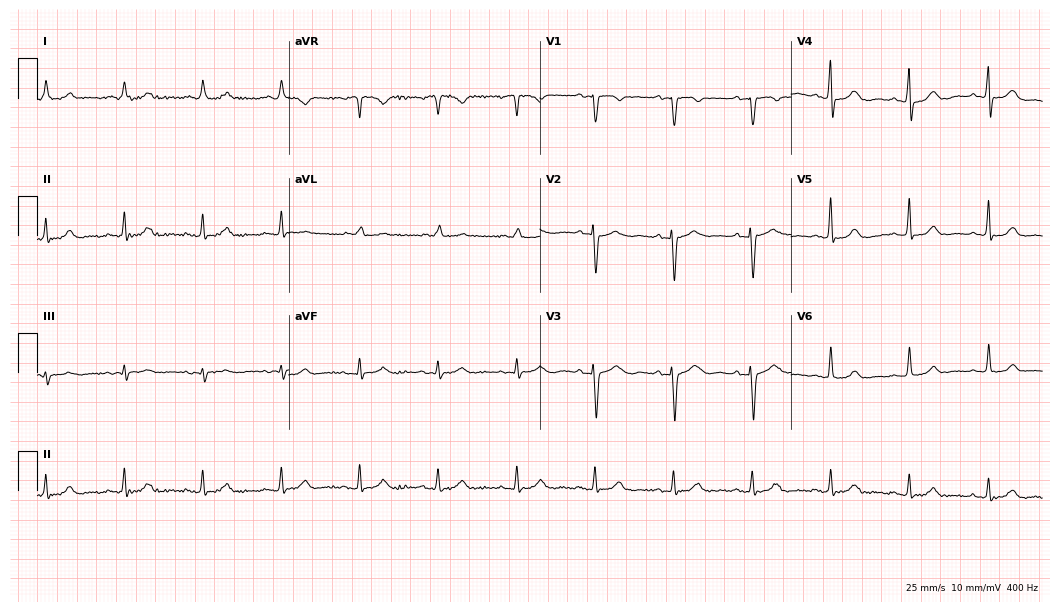
Electrocardiogram (10.2-second recording at 400 Hz), a 75-year-old female. Of the six screened findings (first-degree AV block, right bundle branch block (RBBB), left bundle branch block (LBBB), sinus bradycardia, atrial fibrillation (AF), sinus tachycardia), none is recorded.